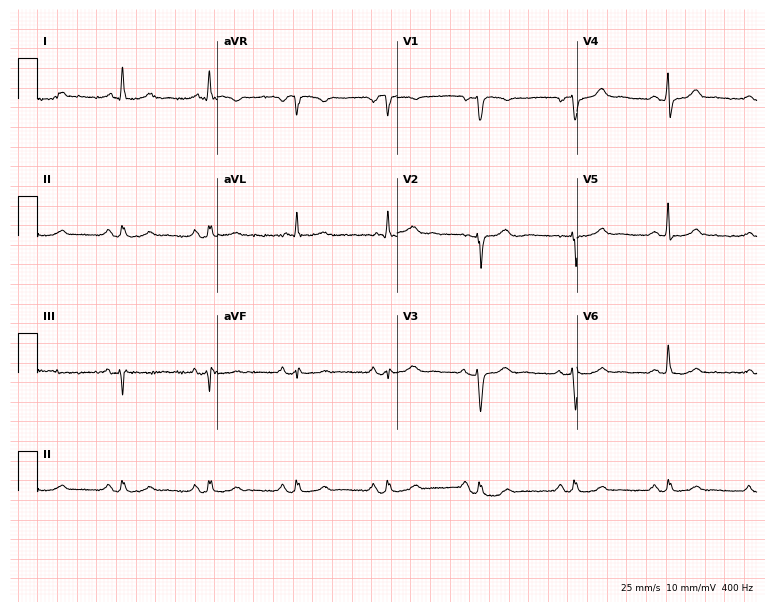
12-lead ECG from a male, 70 years old (7.3-second recording at 400 Hz). Recorded interpretation: within normal limits.